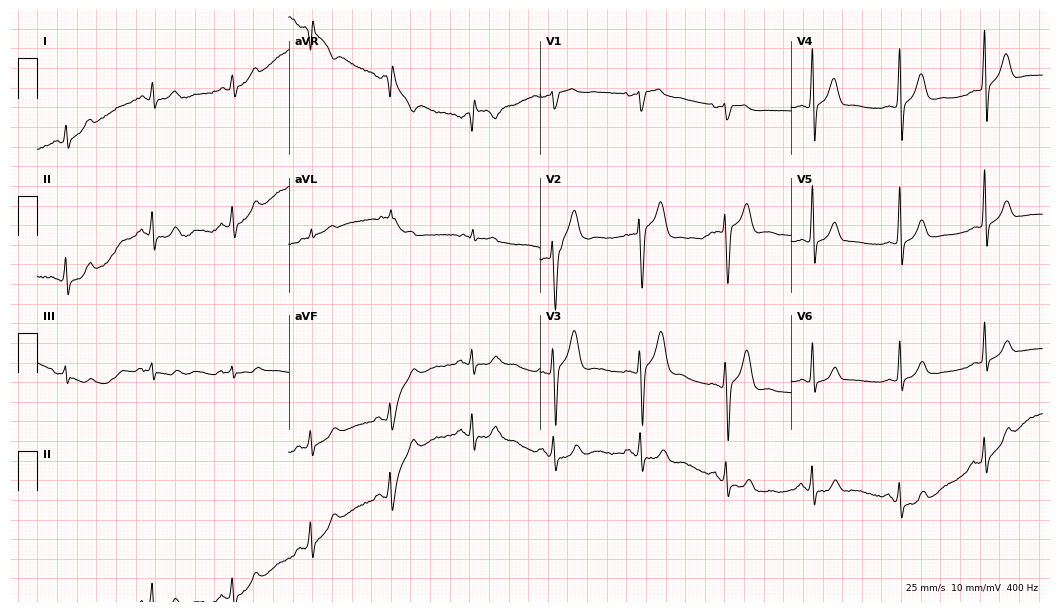
Electrocardiogram, a male, 43 years old. Overall reading on record: normal ECG.